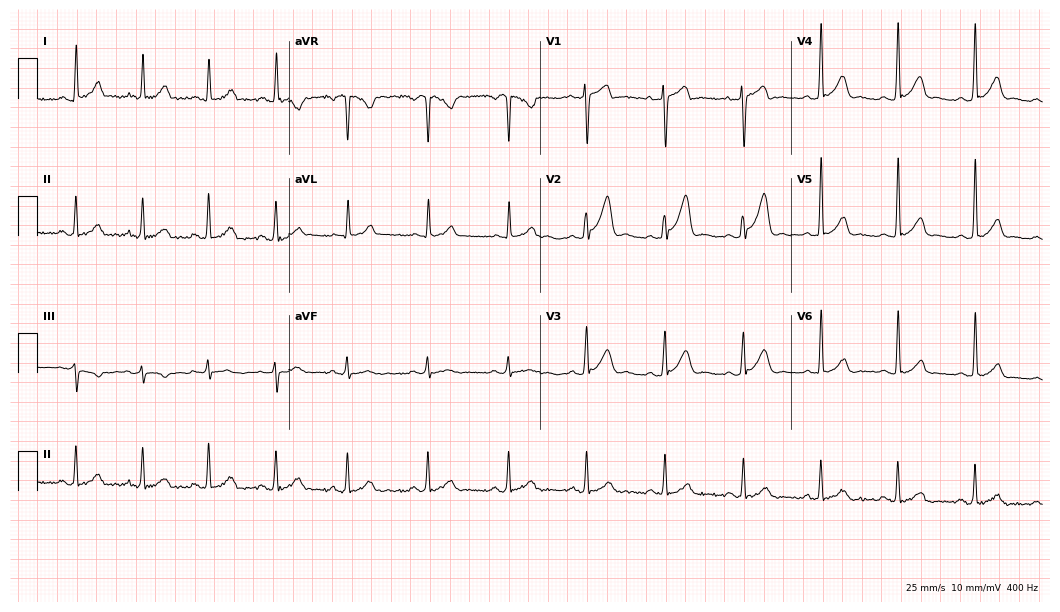
Standard 12-lead ECG recorded from a 31-year-old man. Read as a normal ECG.